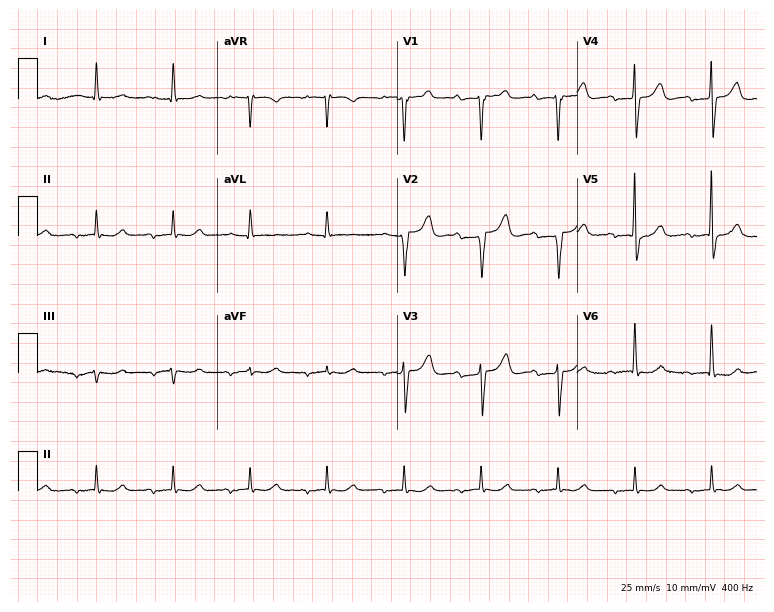
12-lead ECG from a male, 71 years old. Findings include first-degree AV block.